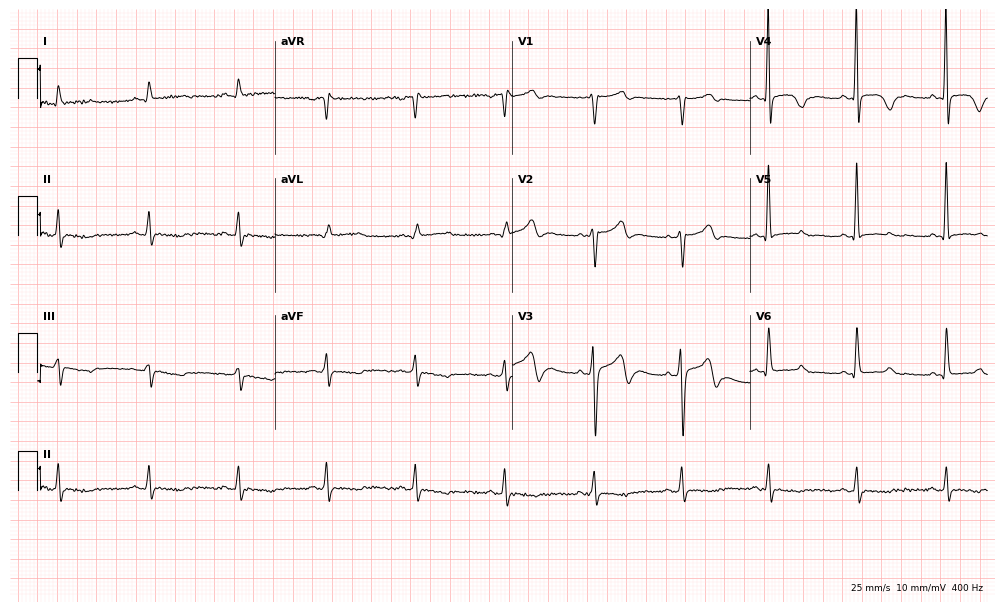
Electrocardiogram (9.7-second recording at 400 Hz), a male, 56 years old. Of the six screened findings (first-degree AV block, right bundle branch block, left bundle branch block, sinus bradycardia, atrial fibrillation, sinus tachycardia), none is recorded. Other findings, if any, are not listed.